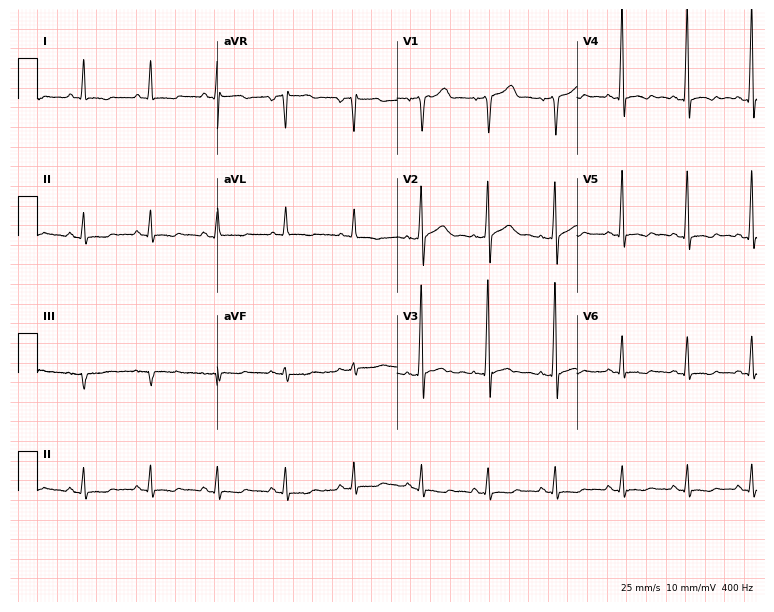
Electrocardiogram, a male, 67 years old. Of the six screened findings (first-degree AV block, right bundle branch block, left bundle branch block, sinus bradycardia, atrial fibrillation, sinus tachycardia), none is recorded. Other findings, if any, are not listed.